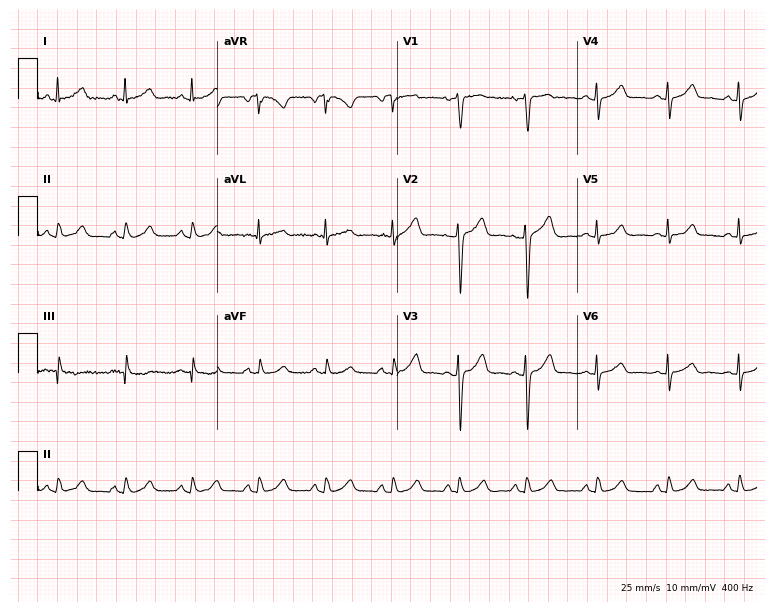
12-lead ECG from a 42-year-old woman. Recorded interpretation: within normal limits.